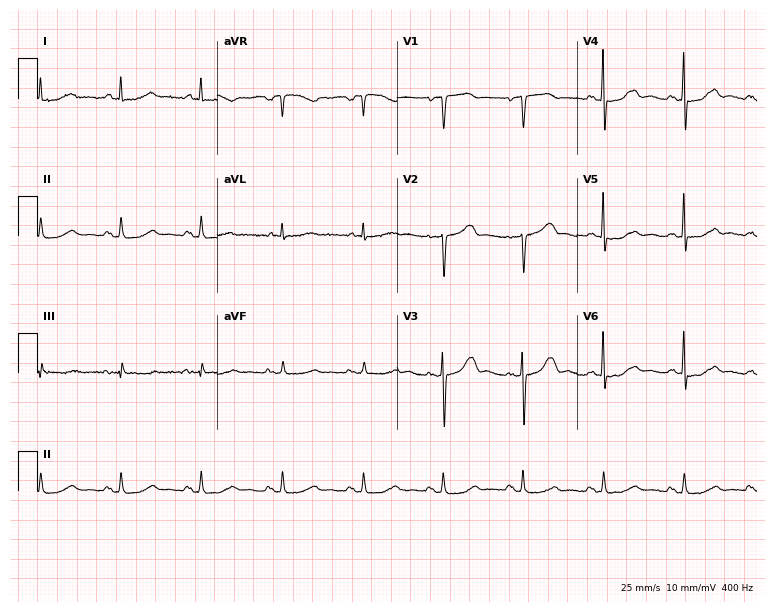
Resting 12-lead electrocardiogram. Patient: an 80-year-old female. None of these six findings is recorded: first-degree AV block, right bundle branch block, left bundle branch block, sinus bradycardia, atrial fibrillation, sinus tachycardia.